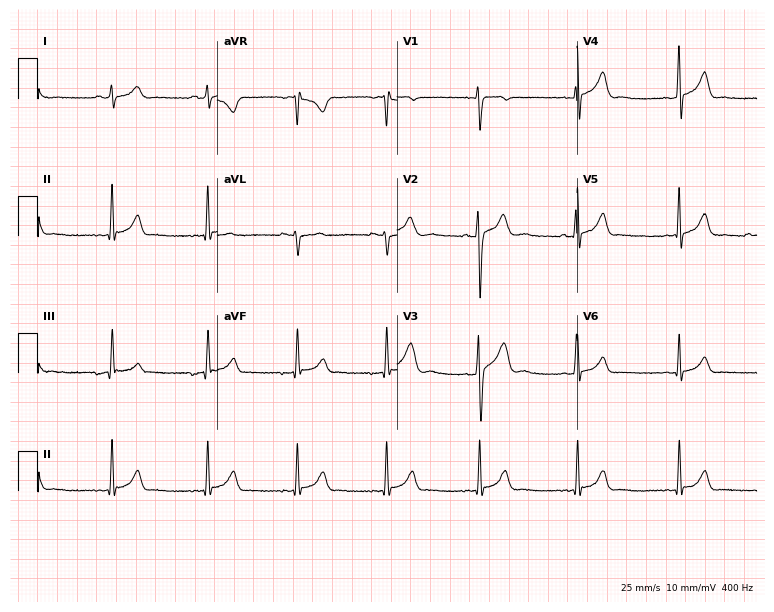
12-lead ECG from a 19-year-old man. No first-degree AV block, right bundle branch block, left bundle branch block, sinus bradycardia, atrial fibrillation or sinus tachycardia recorded for this tracing. Other findings, if any, are not listed.